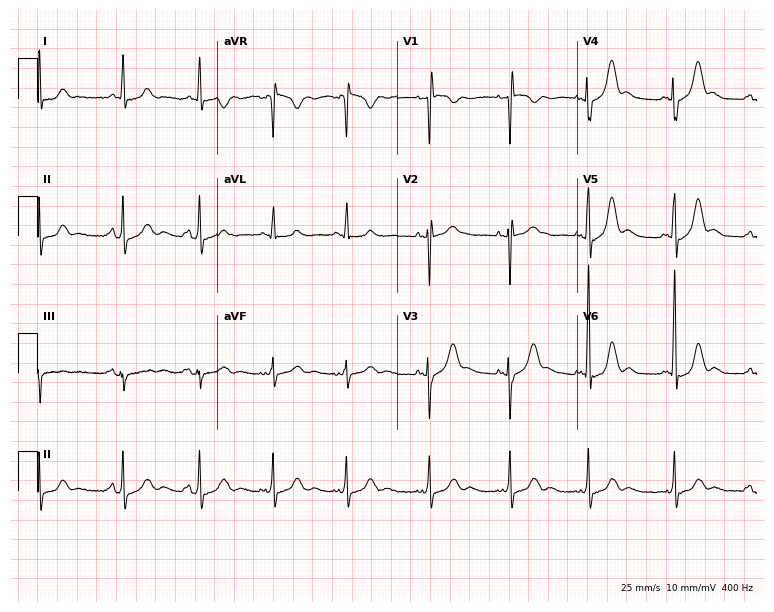
12-lead ECG from a female, 68 years old. Screened for six findings — first-degree AV block, right bundle branch block, left bundle branch block, sinus bradycardia, atrial fibrillation, sinus tachycardia — none is recorded.